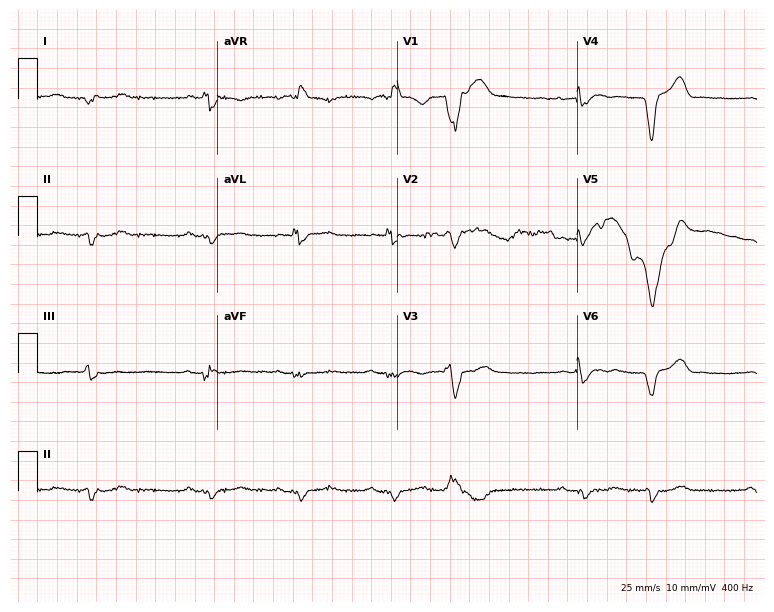
ECG — a female patient, 55 years old. Findings include right bundle branch block.